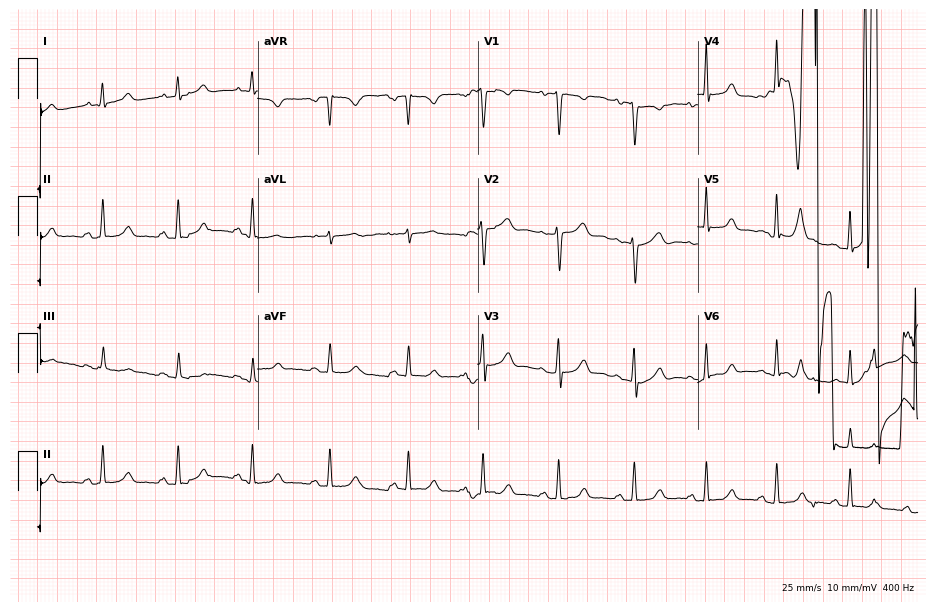
ECG — a female, 30 years old. Screened for six findings — first-degree AV block, right bundle branch block (RBBB), left bundle branch block (LBBB), sinus bradycardia, atrial fibrillation (AF), sinus tachycardia — none is recorded. Other findings, if any, are not listed.